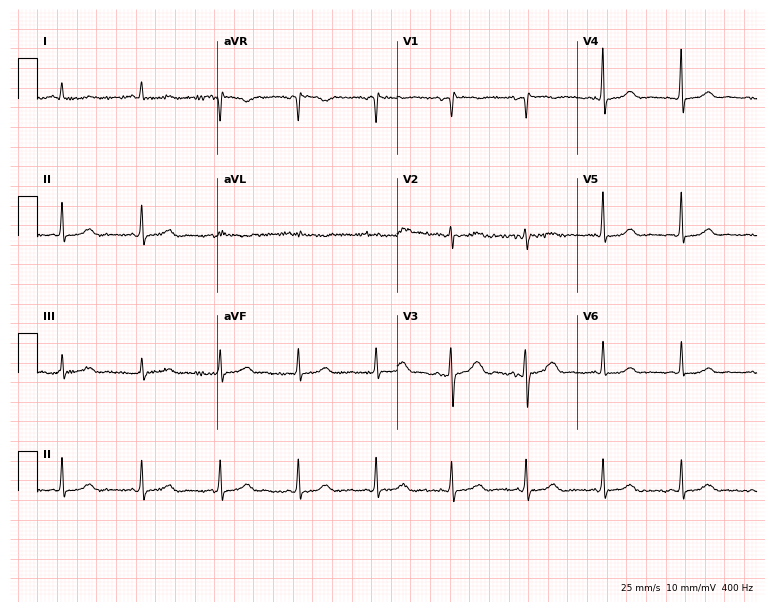
Electrocardiogram, a 56-year-old female. Overall reading on record: normal ECG.